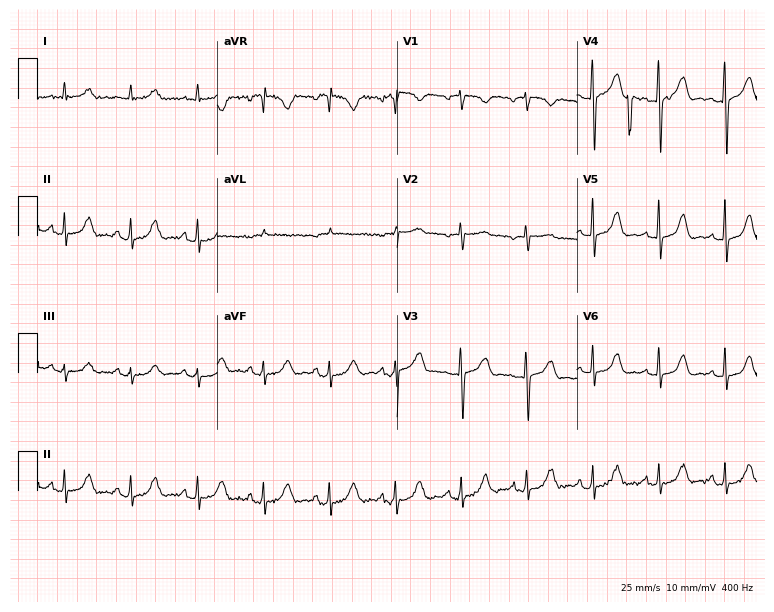
12-lead ECG from a woman, 63 years old. Recorded interpretation: within normal limits.